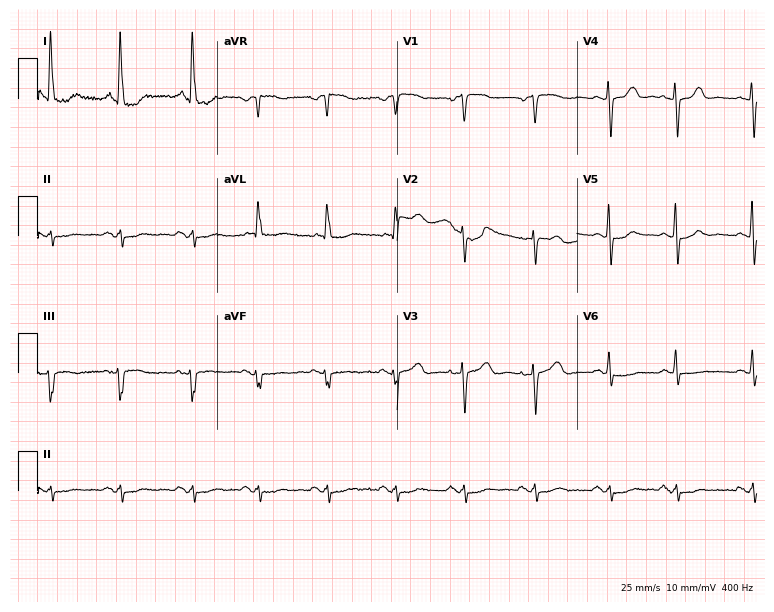
Standard 12-lead ECG recorded from an 84-year-old female. None of these six findings is recorded: first-degree AV block, right bundle branch block, left bundle branch block, sinus bradycardia, atrial fibrillation, sinus tachycardia. Findings outside these six are not listed.